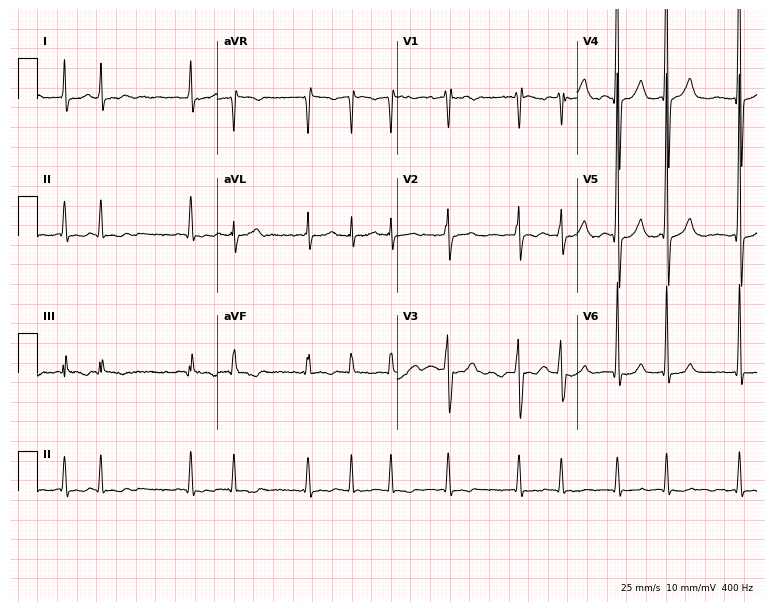
Resting 12-lead electrocardiogram (7.3-second recording at 400 Hz). Patient: a man, 65 years old. The tracing shows atrial fibrillation.